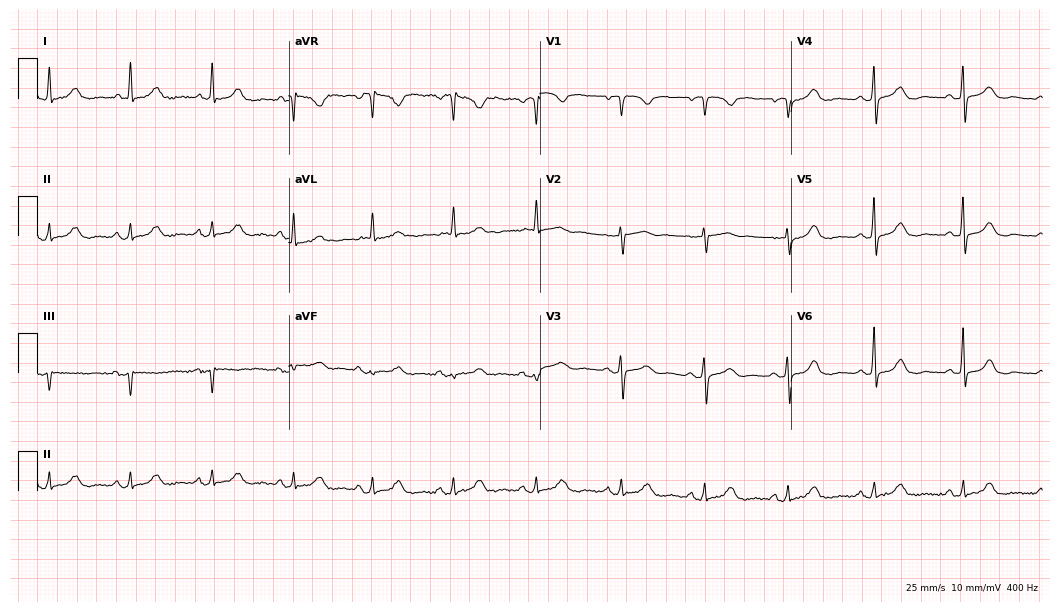
Electrocardiogram (10.2-second recording at 400 Hz), a female patient, 69 years old. Overall reading on record: normal ECG.